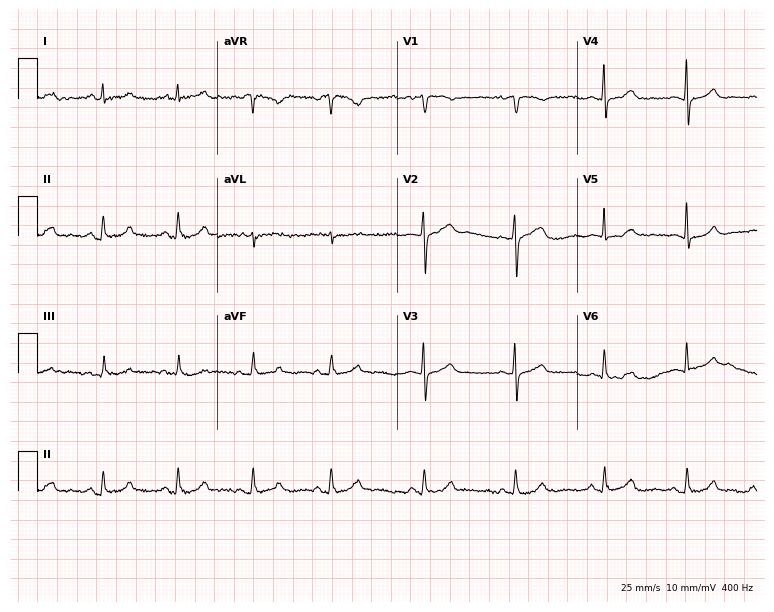
Resting 12-lead electrocardiogram. Patient: a 48-year-old female. Read as a normal ECG.